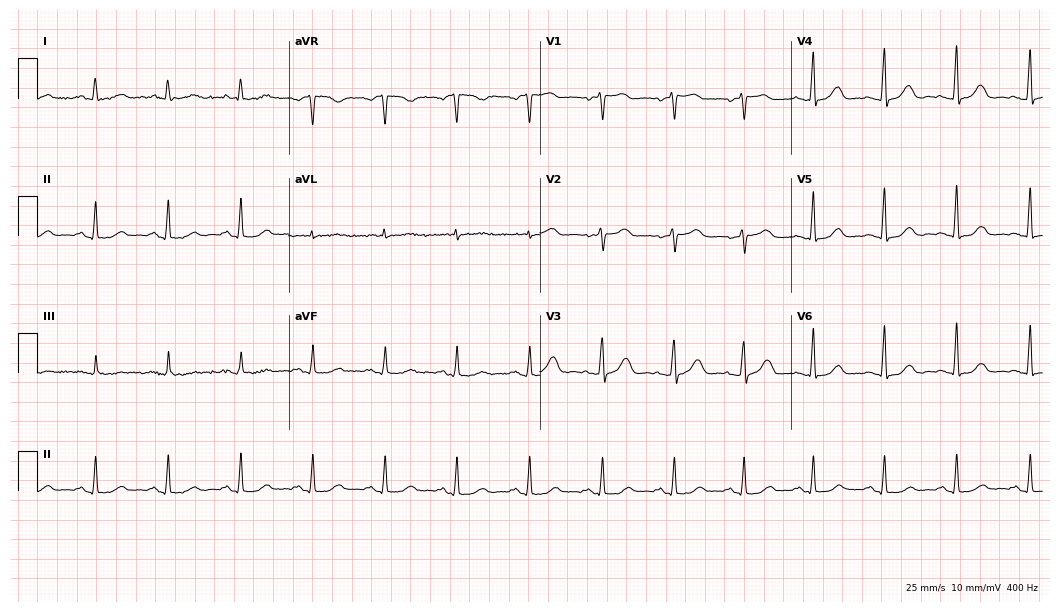
Electrocardiogram, a 68-year-old woman. Of the six screened findings (first-degree AV block, right bundle branch block (RBBB), left bundle branch block (LBBB), sinus bradycardia, atrial fibrillation (AF), sinus tachycardia), none is recorded. Other findings, if any, are not listed.